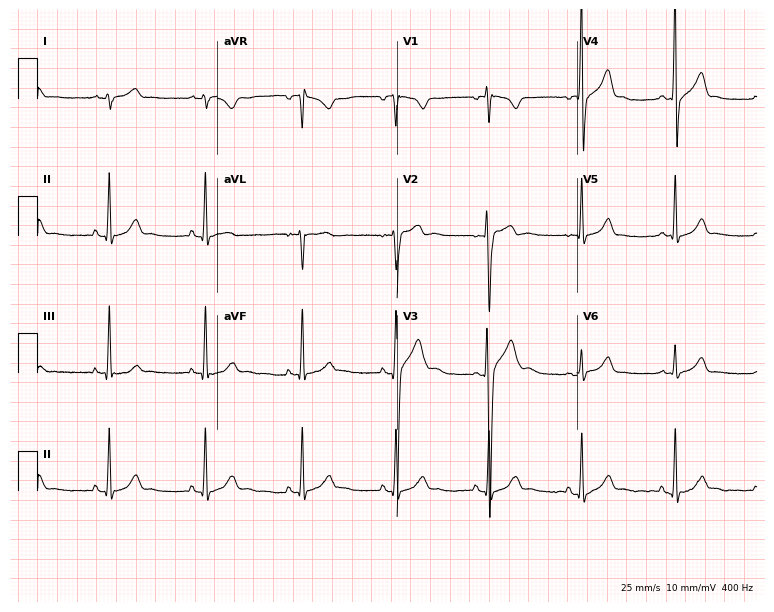
12-lead ECG from a male patient, 18 years old (7.3-second recording at 400 Hz). Recorded interpretation: within normal limits.